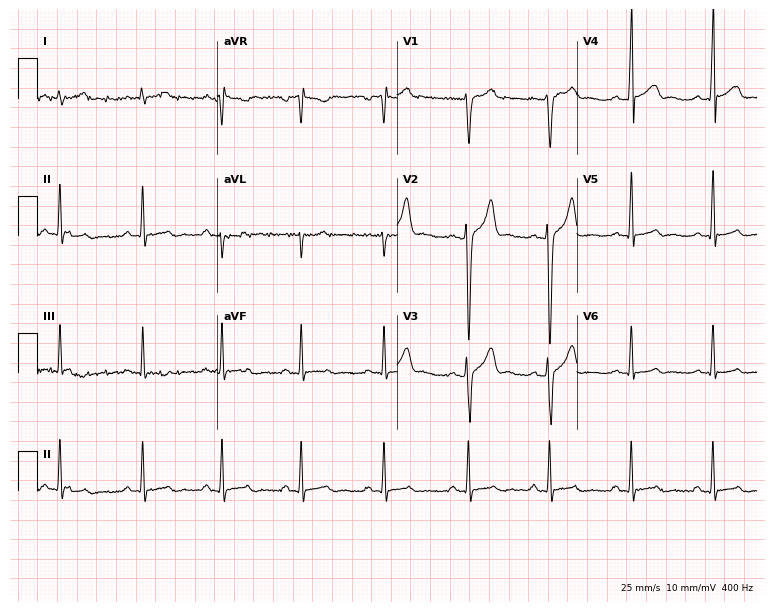
Standard 12-lead ECG recorded from a 27-year-old man (7.3-second recording at 400 Hz). None of these six findings is recorded: first-degree AV block, right bundle branch block, left bundle branch block, sinus bradycardia, atrial fibrillation, sinus tachycardia. Other findings, if any, are not listed.